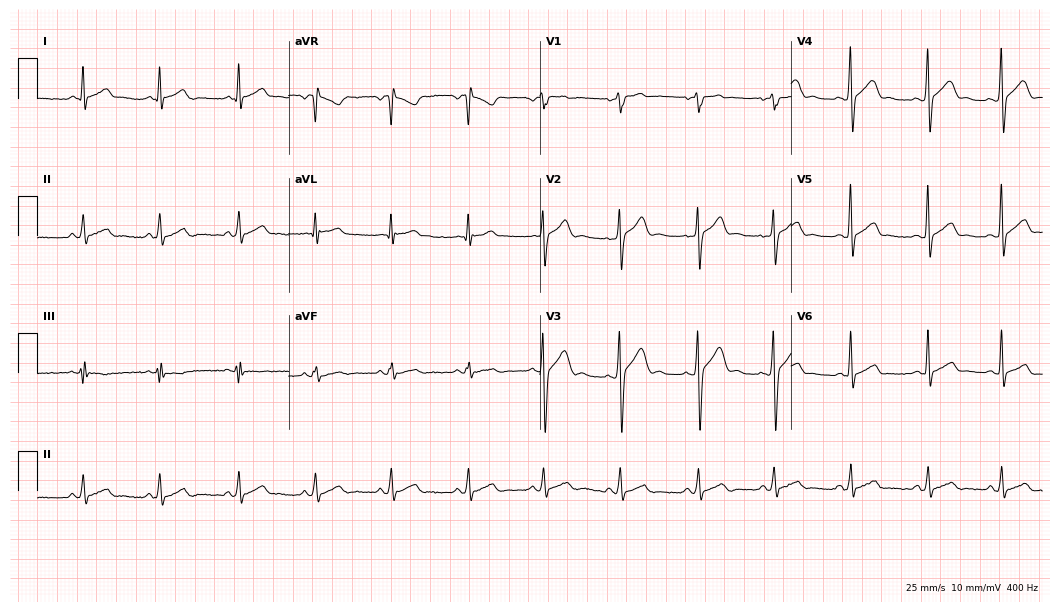
12-lead ECG (10.2-second recording at 400 Hz) from a 30-year-old male patient. Labelled as a normal ECG.